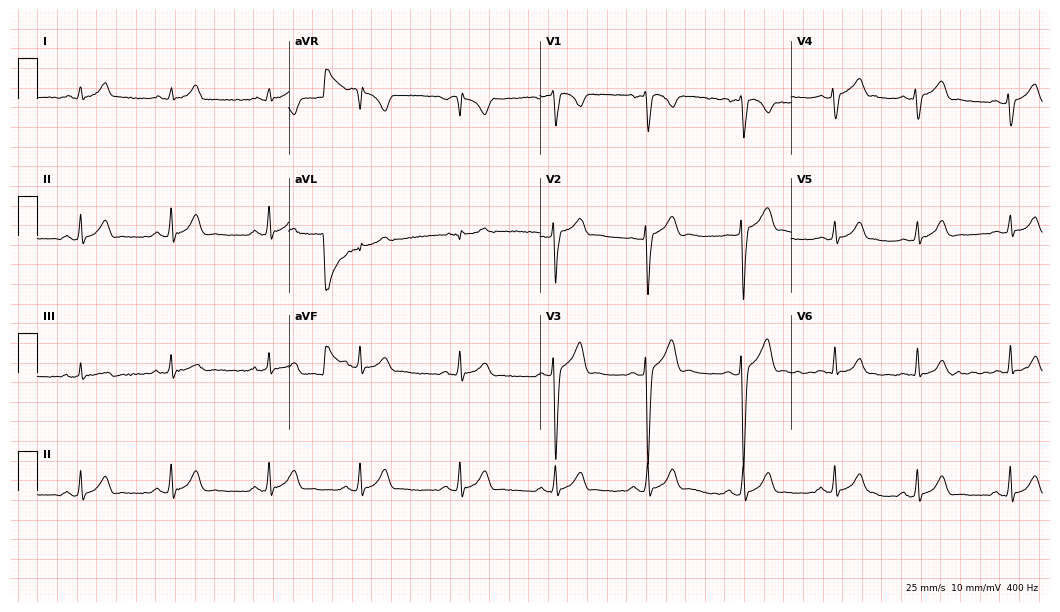
Resting 12-lead electrocardiogram. Patient: a 21-year-old male. Read as a normal ECG.